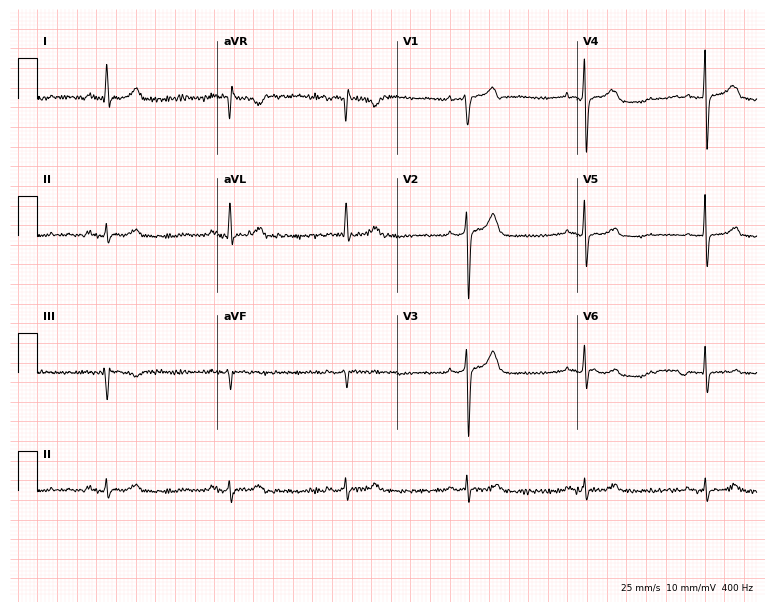
Electrocardiogram, a male, 65 years old. Overall reading on record: normal ECG.